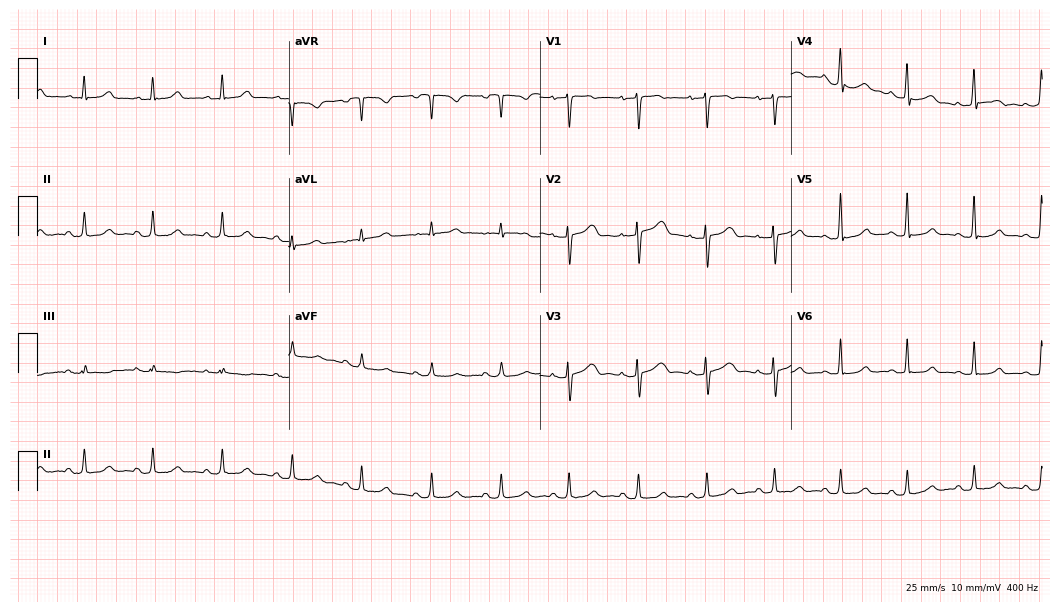
ECG — a 40-year-old female patient. Labelled as a normal ECG.